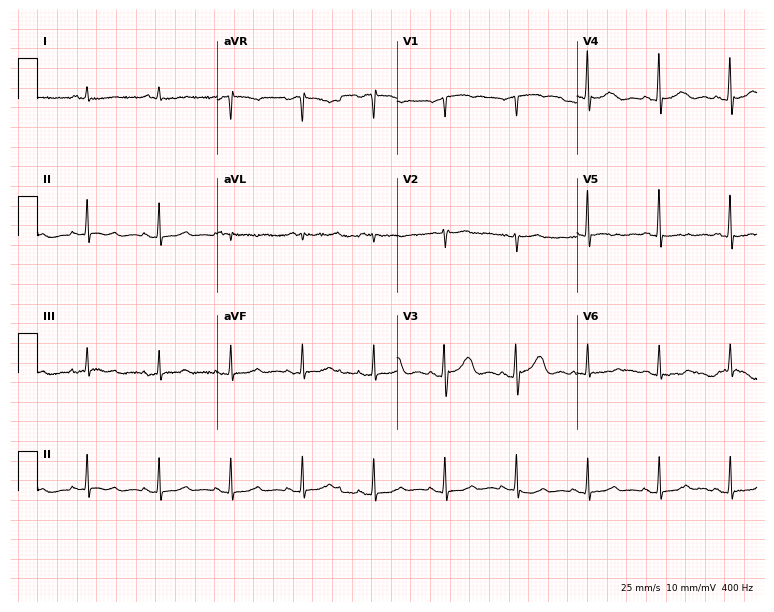
Standard 12-lead ECG recorded from an 82-year-old male (7.3-second recording at 400 Hz). Read as a normal ECG.